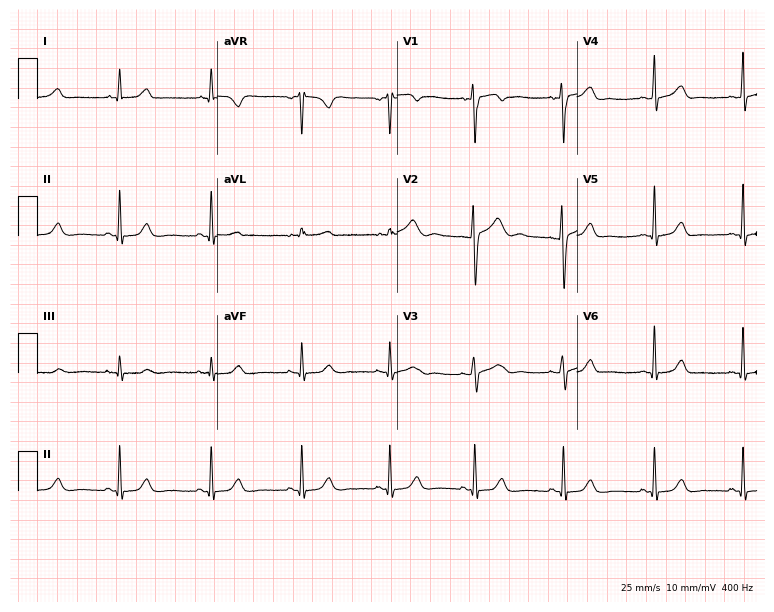
12-lead ECG from a female, 37 years old. Labelled as a normal ECG.